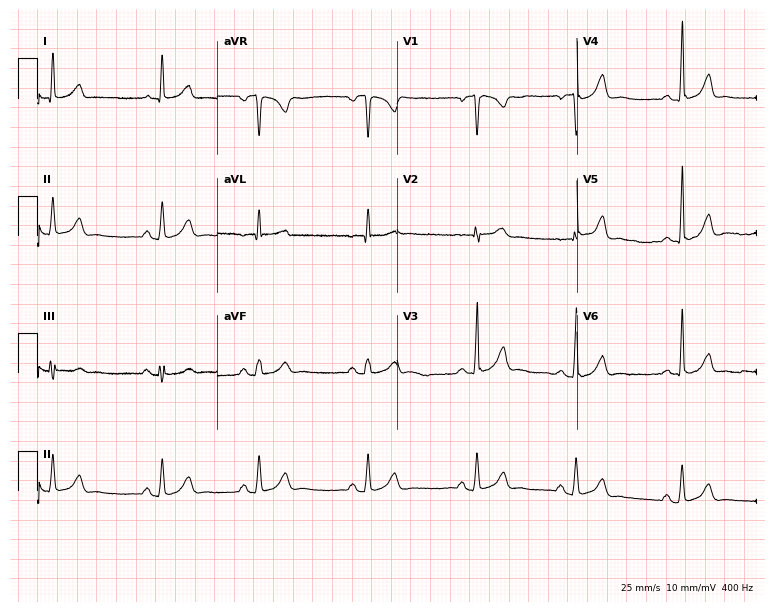
Resting 12-lead electrocardiogram (7.3-second recording at 400 Hz). Patient: a 26-year-old female. Read as a normal ECG.